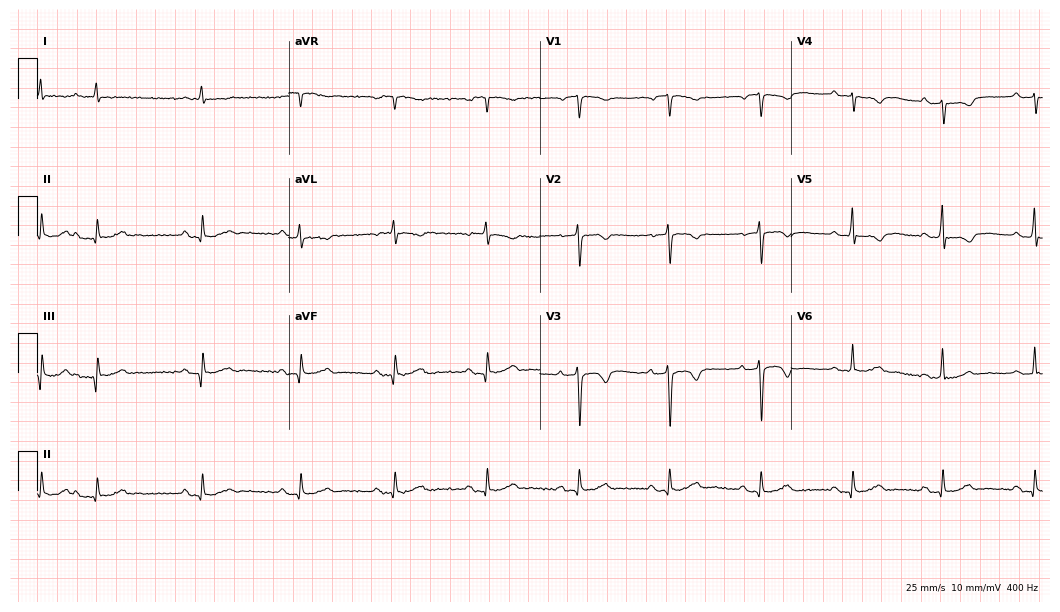
Electrocardiogram (10.2-second recording at 400 Hz), an 80-year-old man. Of the six screened findings (first-degree AV block, right bundle branch block, left bundle branch block, sinus bradycardia, atrial fibrillation, sinus tachycardia), none is recorded. Findings outside these six are not listed.